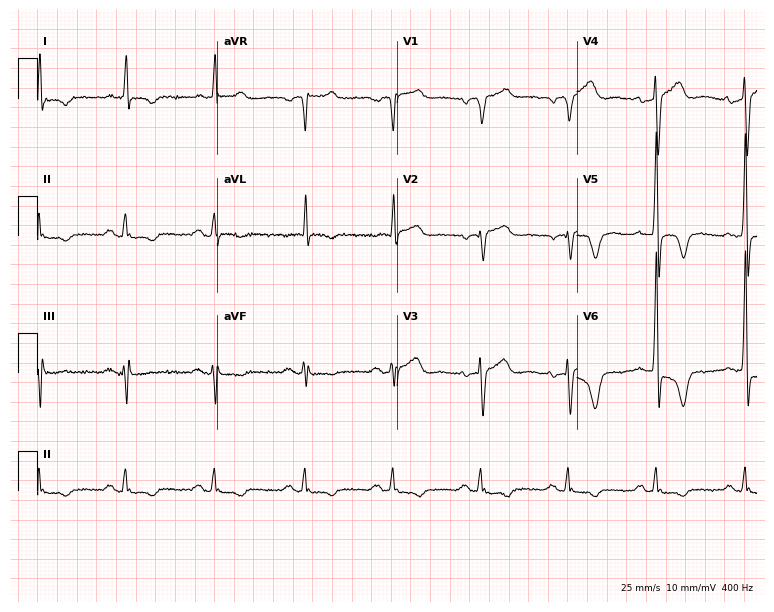
Resting 12-lead electrocardiogram (7.3-second recording at 400 Hz). Patient: a 71-year-old male. None of these six findings is recorded: first-degree AV block, right bundle branch block, left bundle branch block, sinus bradycardia, atrial fibrillation, sinus tachycardia.